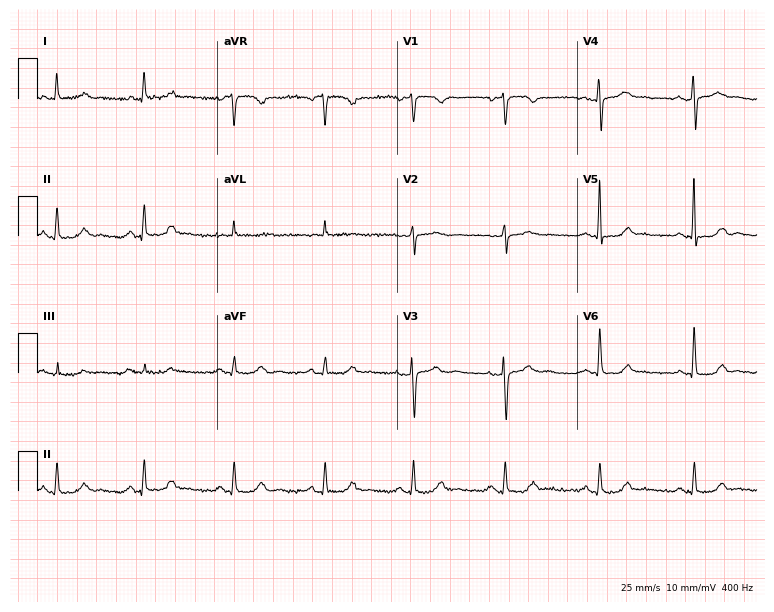
Electrocardiogram (7.3-second recording at 400 Hz), a 55-year-old woman. Overall reading on record: normal ECG.